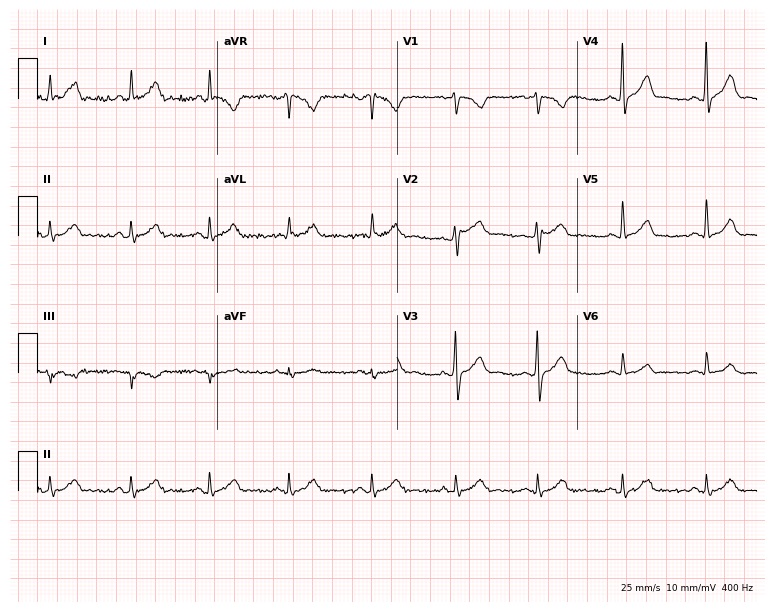
12-lead ECG from a 26-year-old male. Labelled as a normal ECG.